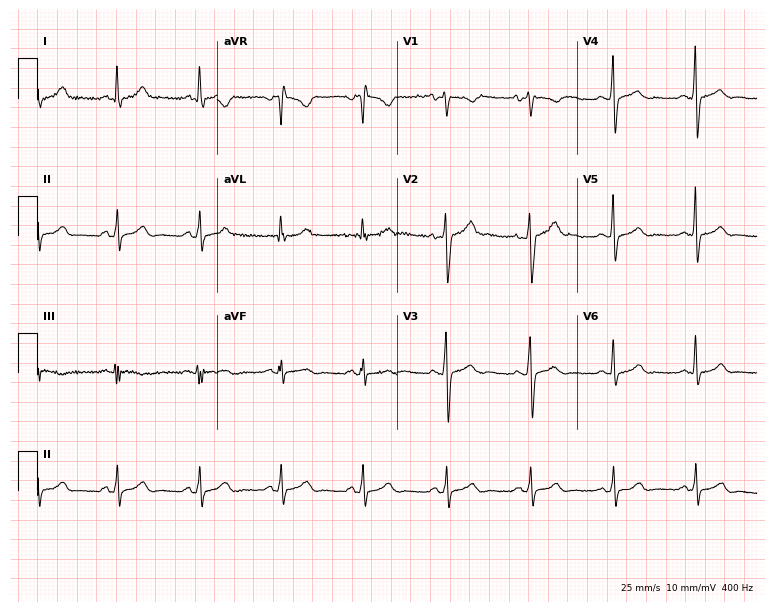
12-lead ECG from a male patient, 40 years old. Labelled as a normal ECG.